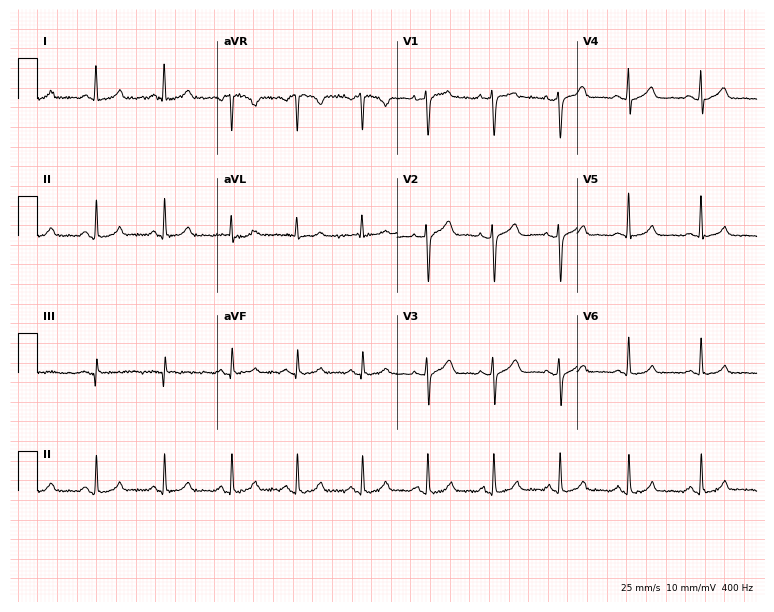
Standard 12-lead ECG recorded from a female patient, 47 years old (7.3-second recording at 400 Hz). None of these six findings is recorded: first-degree AV block, right bundle branch block (RBBB), left bundle branch block (LBBB), sinus bradycardia, atrial fibrillation (AF), sinus tachycardia.